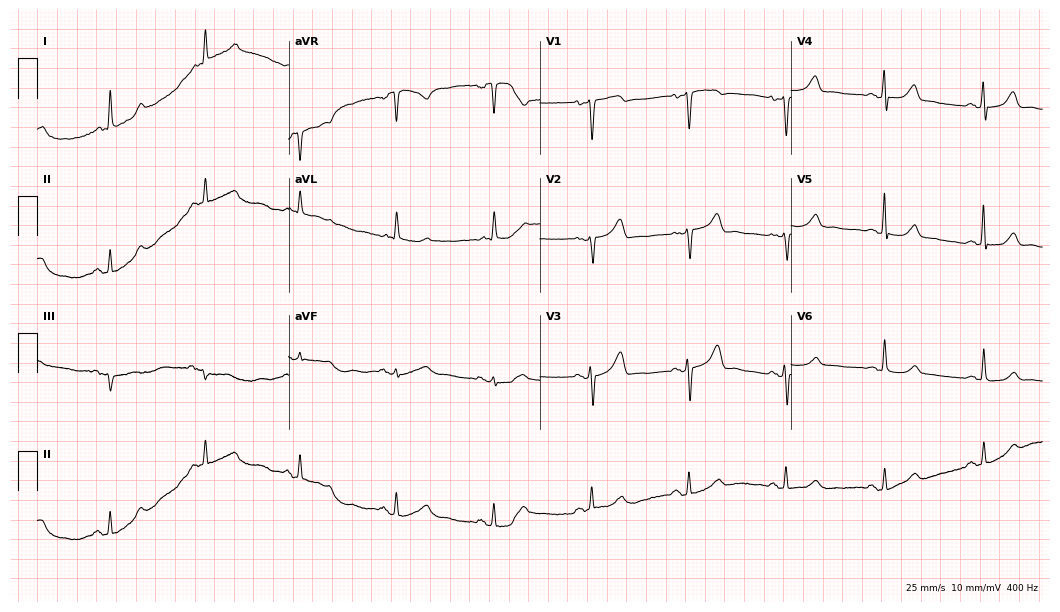
Resting 12-lead electrocardiogram. Patient: a female, 67 years old. Read as a normal ECG.